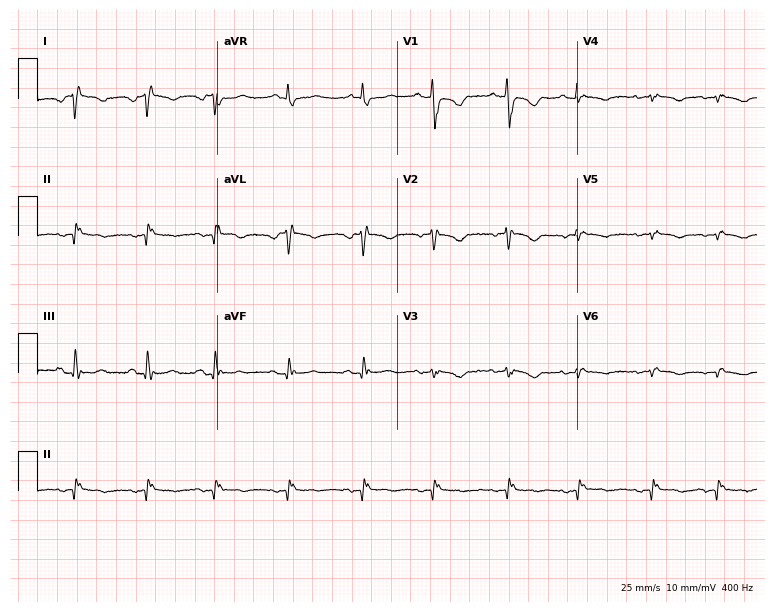
Standard 12-lead ECG recorded from a female patient, 69 years old (7.3-second recording at 400 Hz). None of these six findings is recorded: first-degree AV block, right bundle branch block (RBBB), left bundle branch block (LBBB), sinus bradycardia, atrial fibrillation (AF), sinus tachycardia. Only these six findings were labelled.